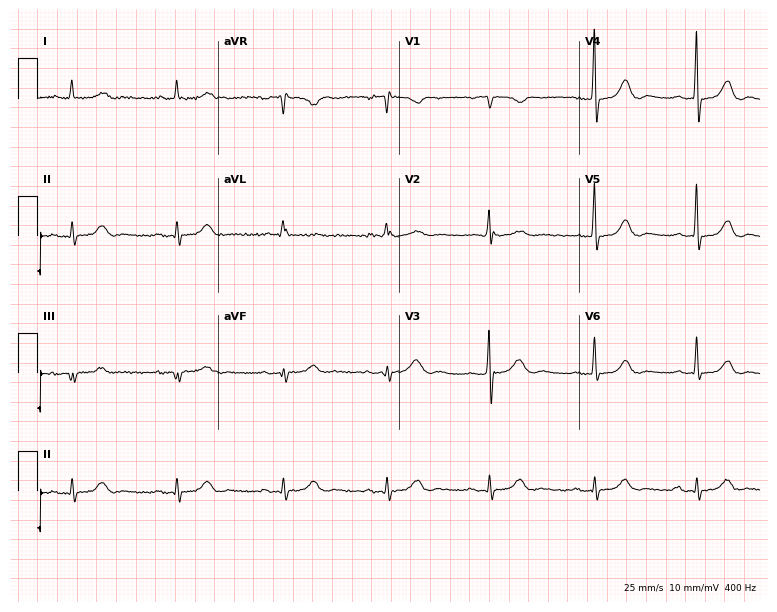
Electrocardiogram (7.4-second recording at 400 Hz), a 79-year-old female. Of the six screened findings (first-degree AV block, right bundle branch block, left bundle branch block, sinus bradycardia, atrial fibrillation, sinus tachycardia), none is recorded.